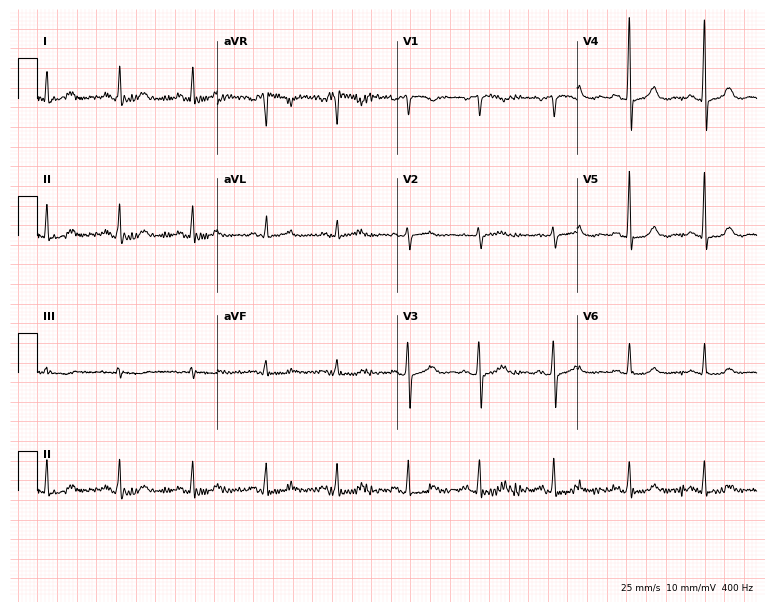
Resting 12-lead electrocardiogram (7.3-second recording at 400 Hz). Patient: a 73-year-old female. Read as a normal ECG.